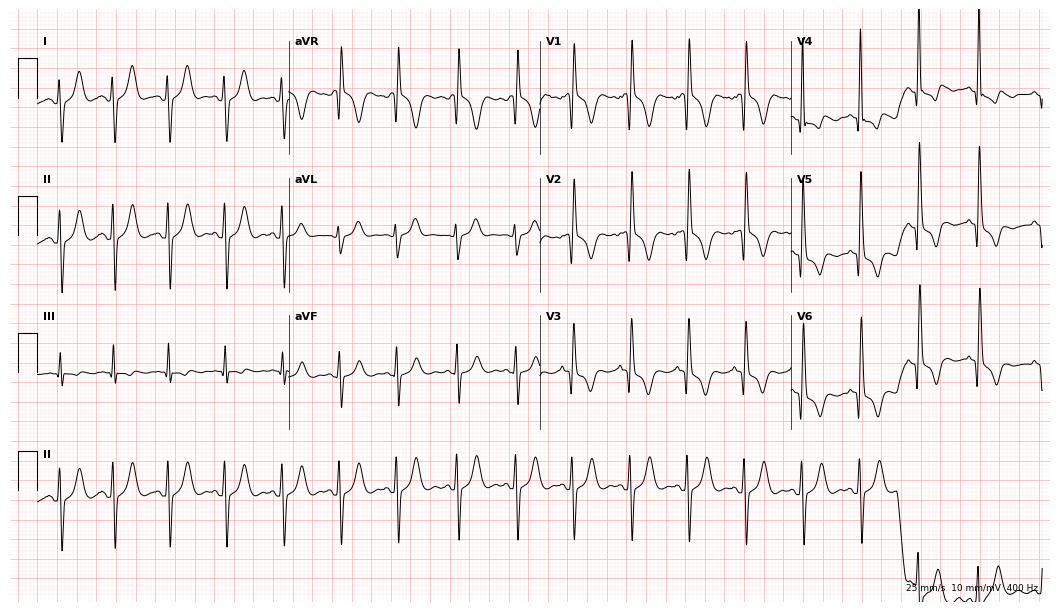
Electrocardiogram (10.2-second recording at 400 Hz), a 26-year-old man. Interpretation includes sinus tachycardia (a sinus rate of 100 beats per minute or more).